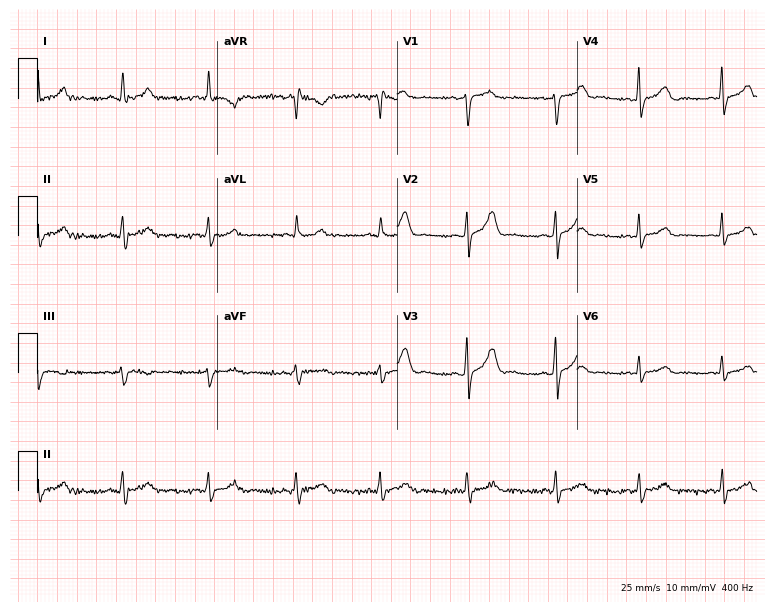
Standard 12-lead ECG recorded from a 44-year-old woman (7.3-second recording at 400 Hz). Read as a normal ECG.